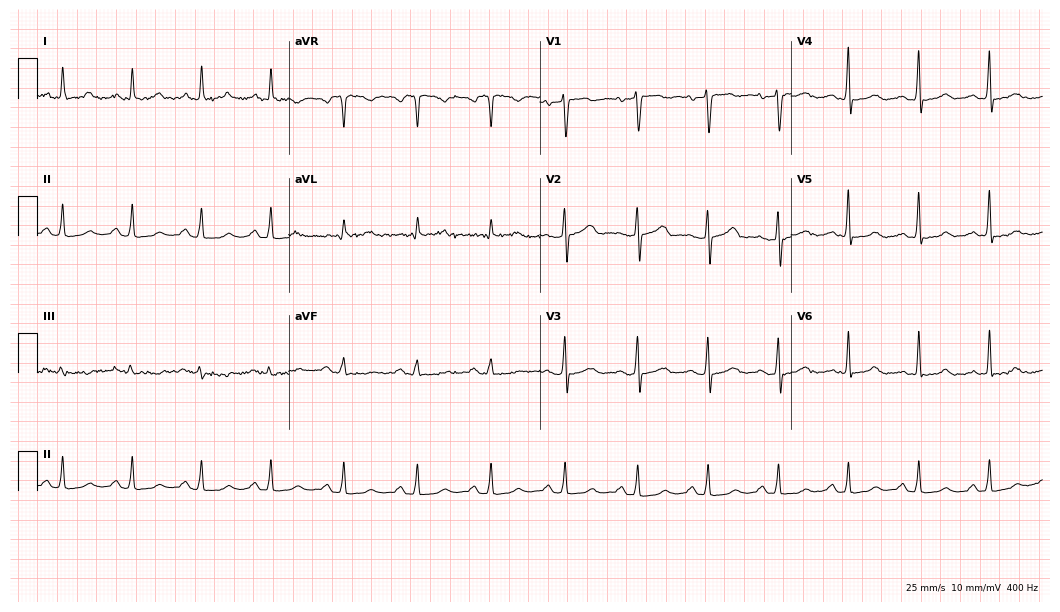
Resting 12-lead electrocardiogram. Patient: a 53-year-old woman. Read as a normal ECG.